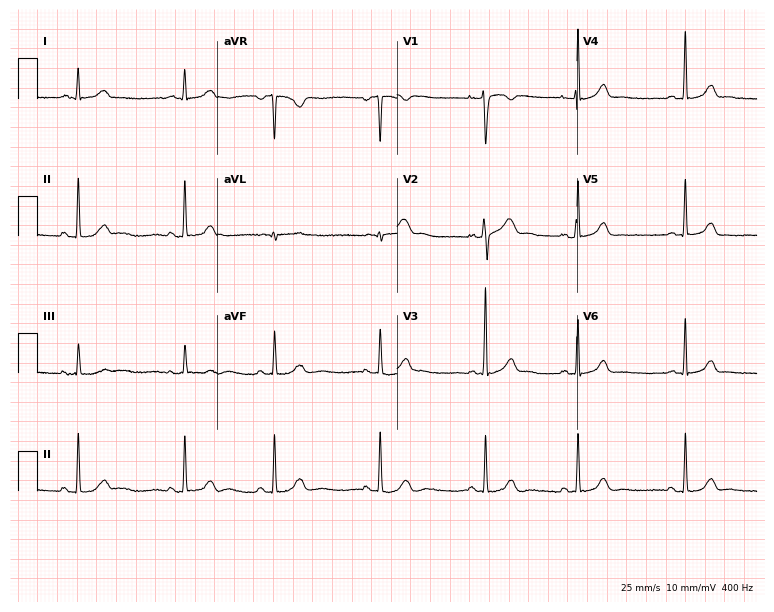
12-lead ECG (7.3-second recording at 400 Hz) from a 40-year-old female patient. Screened for six findings — first-degree AV block, right bundle branch block, left bundle branch block, sinus bradycardia, atrial fibrillation, sinus tachycardia — none is recorded. Other findings, if any, are not listed.